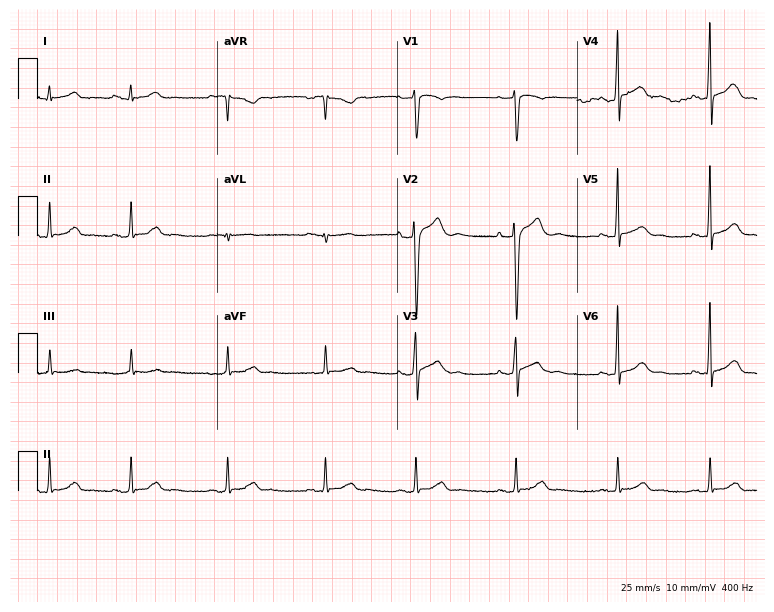
ECG — a 25-year-old male patient. Labelled as a normal ECG.